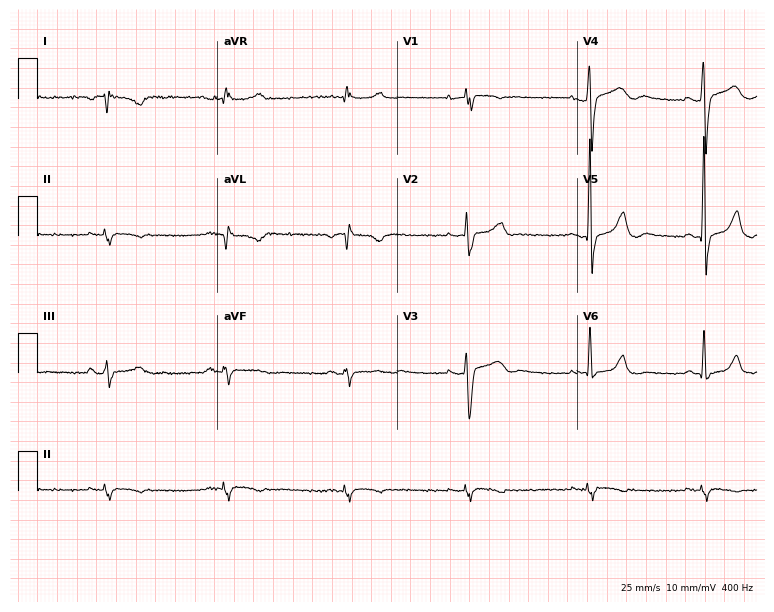
ECG — a man, 41 years old. Screened for six findings — first-degree AV block, right bundle branch block, left bundle branch block, sinus bradycardia, atrial fibrillation, sinus tachycardia — none is recorded. Other findings, if any, are not listed.